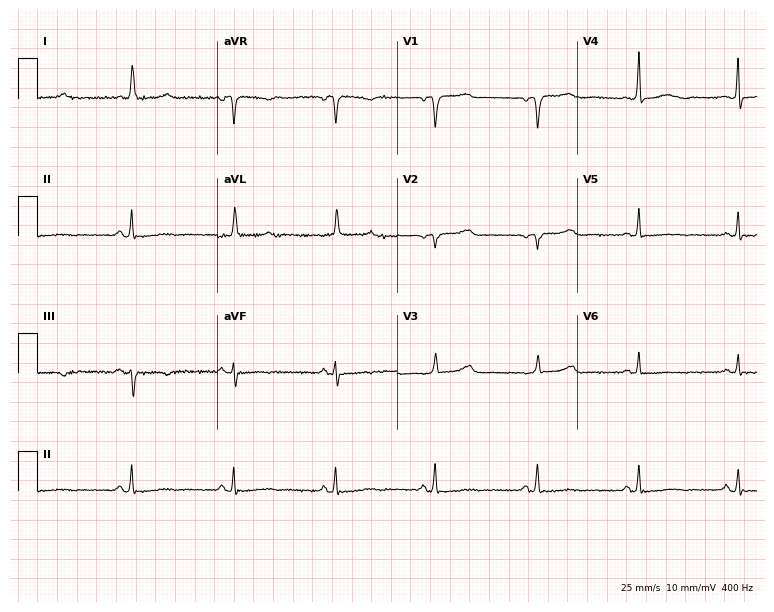
12-lead ECG from a female, 75 years old (7.3-second recording at 400 Hz). No first-degree AV block, right bundle branch block (RBBB), left bundle branch block (LBBB), sinus bradycardia, atrial fibrillation (AF) or sinus tachycardia recorded for this tracing. Findings outside these six are not listed.